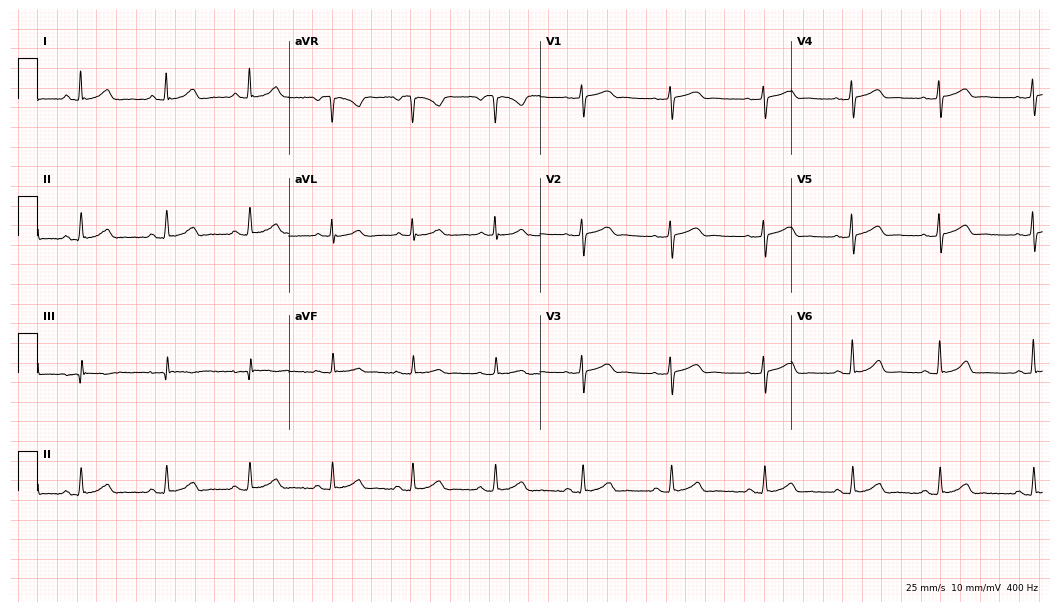
ECG (10.2-second recording at 400 Hz) — a woman, 38 years old. Screened for six findings — first-degree AV block, right bundle branch block, left bundle branch block, sinus bradycardia, atrial fibrillation, sinus tachycardia — none is recorded.